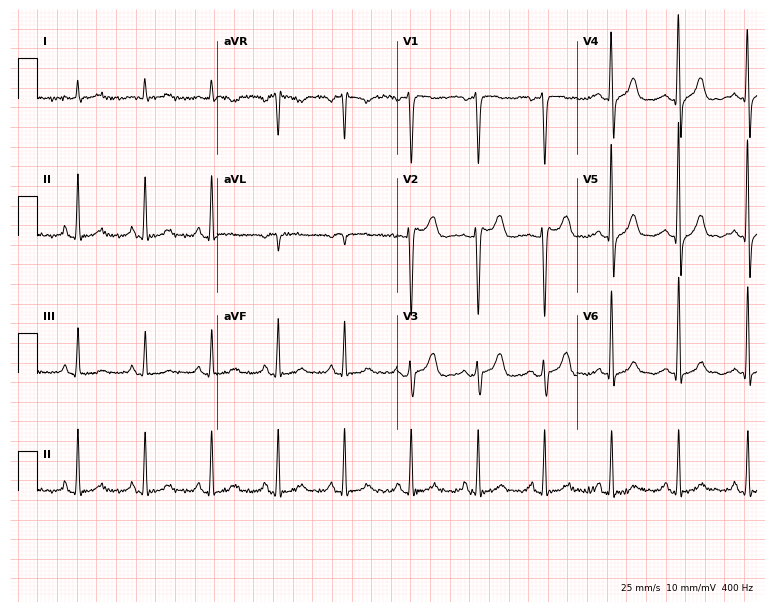
ECG — a 45-year-old male. Screened for six findings — first-degree AV block, right bundle branch block (RBBB), left bundle branch block (LBBB), sinus bradycardia, atrial fibrillation (AF), sinus tachycardia — none is recorded. Findings outside these six are not listed.